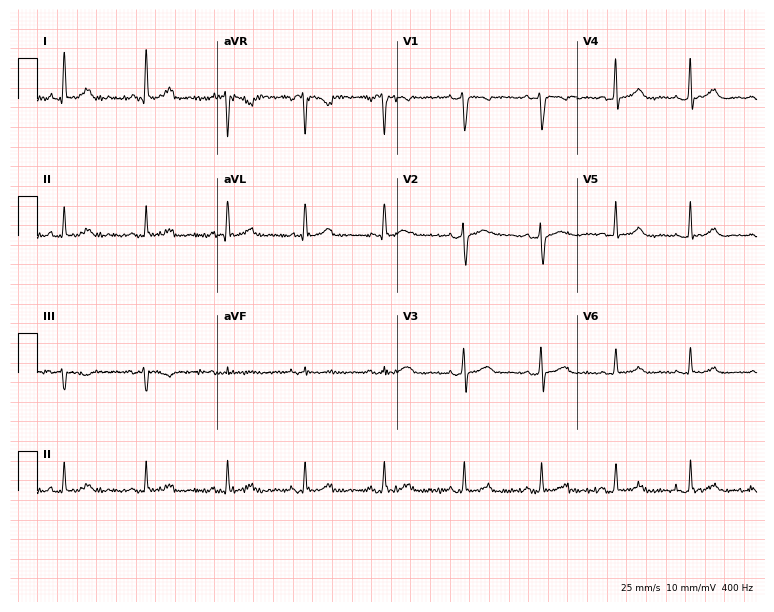
Standard 12-lead ECG recorded from a 48-year-old woman. Read as a normal ECG.